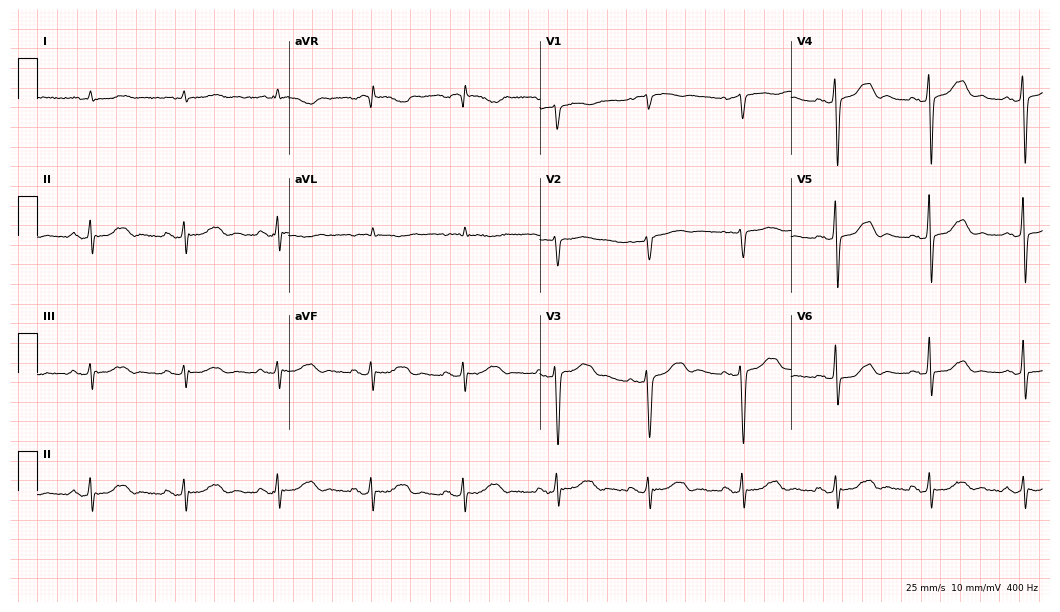
12-lead ECG from a 76-year-old woman. Recorded interpretation: within normal limits.